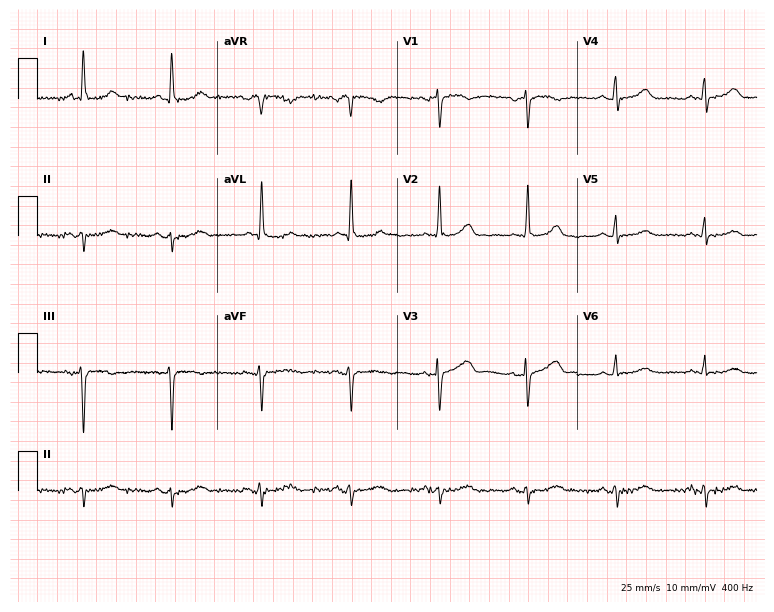
ECG (7.3-second recording at 400 Hz) — a woman, 63 years old. Screened for six findings — first-degree AV block, right bundle branch block, left bundle branch block, sinus bradycardia, atrial fibrillation, sinus tachycardia — none is recorded.